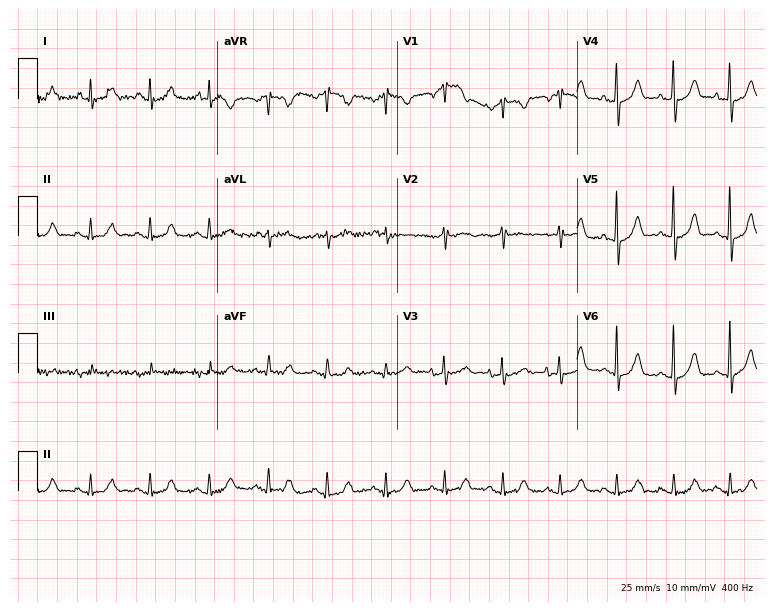
12-lead ECG from a 77-year-old female patient (7.3-second recording at 400 Hz). Recorded interpretation: within normal limits.